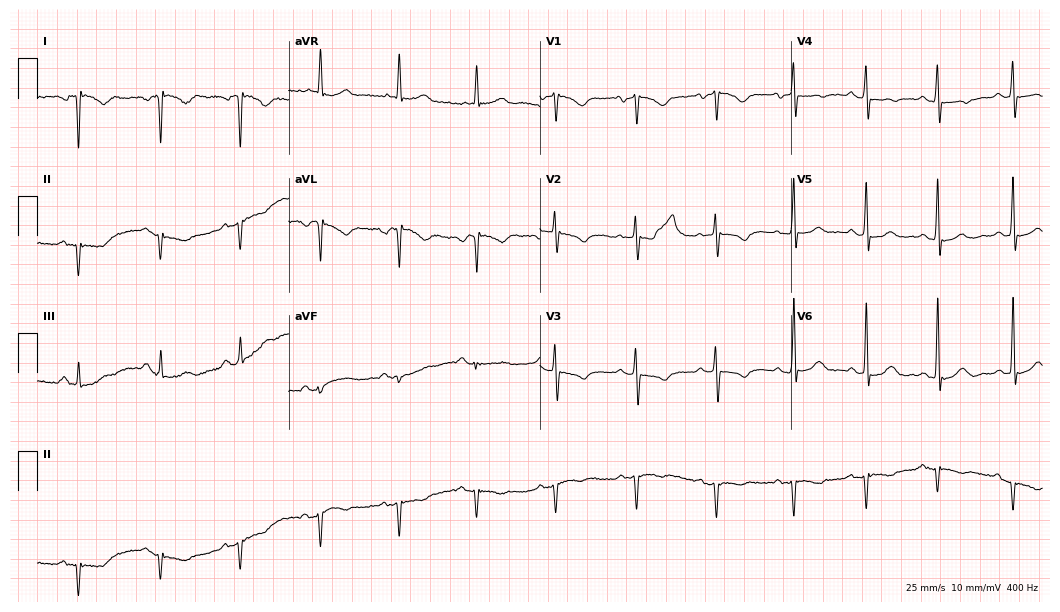
12-lead ECG from a 74-year-old female patient. No first-degree AV block, right bundle branch block (RBBB), left bundle branch block (LBBB), sinus bradycardia, atrial fibrillation (AF) or sinus tachycardia recorded for this tracing.